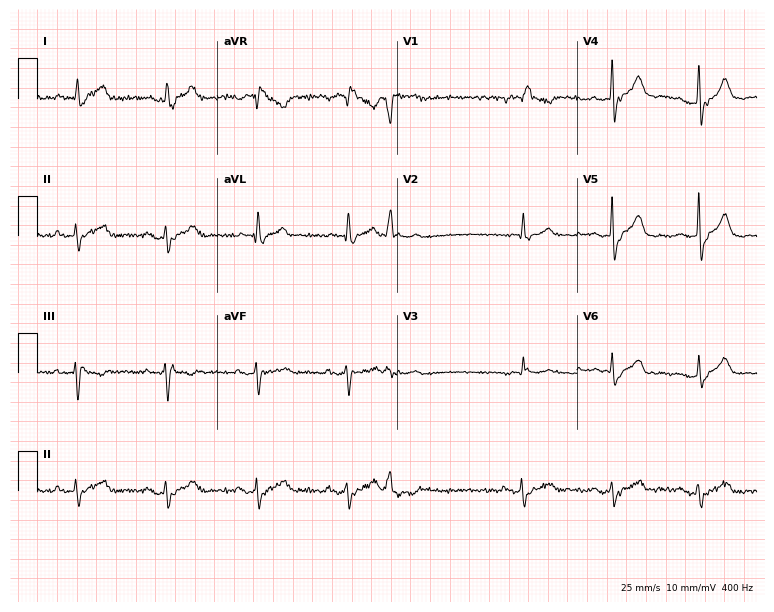
Standard 12-lead ECG recorded from a female, 86 years old. The tracing shows right bundle branch block.